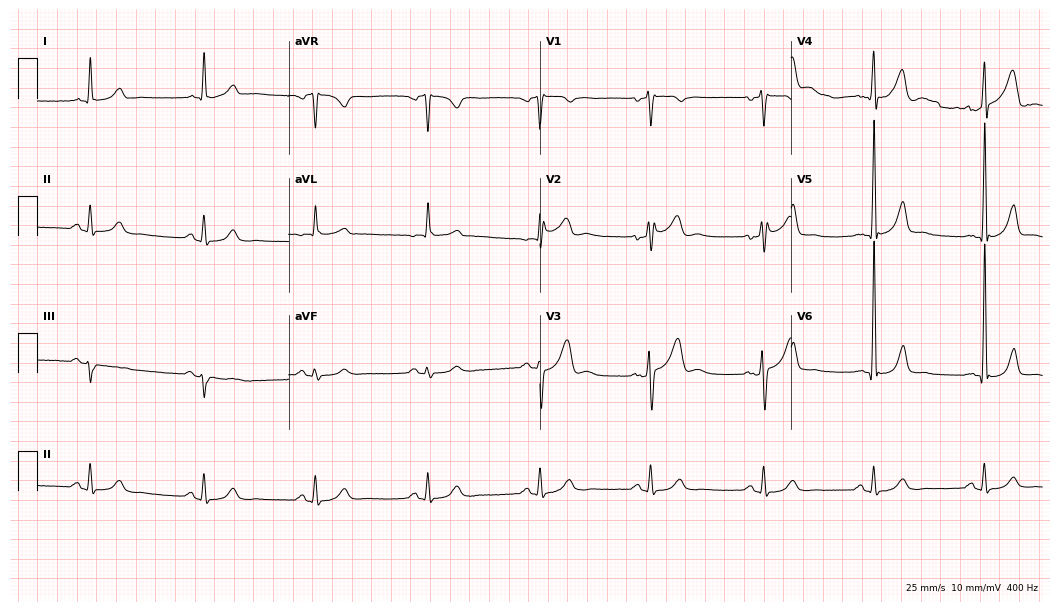
ECG (10.2-second recording at 400 Hz) — a 53-year-old man. Screened for six findings — first-degree AV block, right bundle branch block (RBBB), left bundle branch block (LBBB), sinus bradycardia, atrial fibrillation (AF), sinus tachycardia — none is recorded.